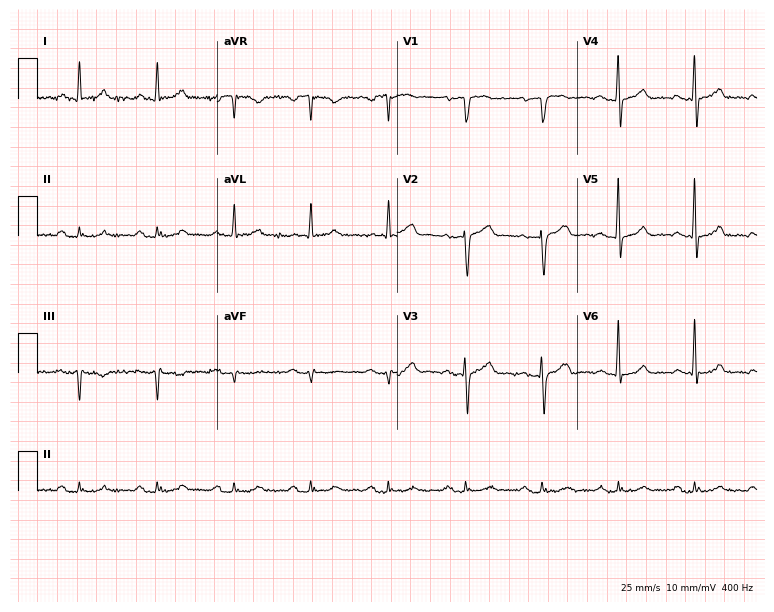
Standard 12-lead ECG recorded from a male patient, 75 years old. Read as a normal ECG.